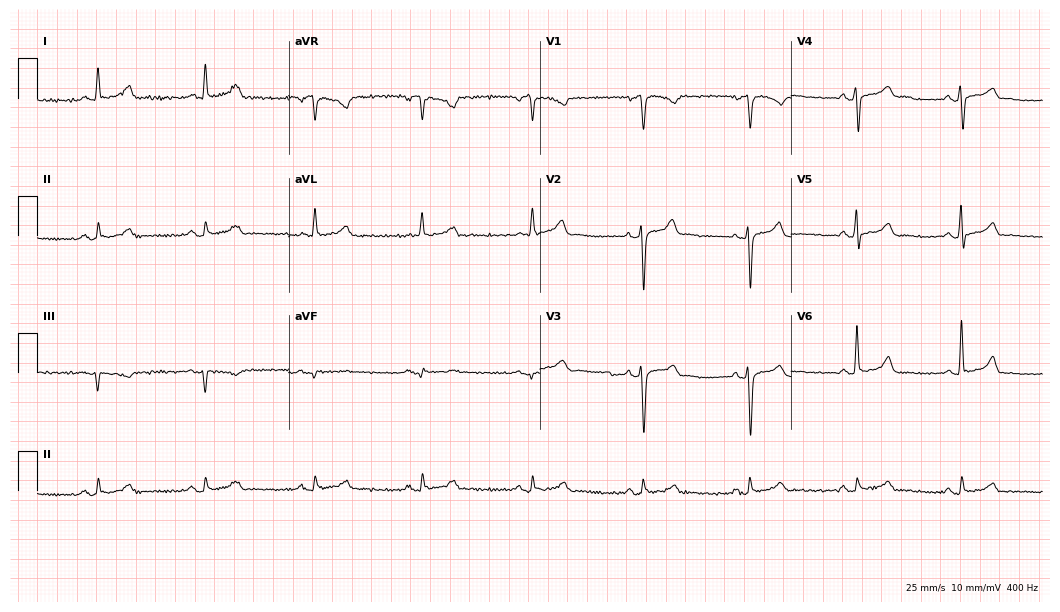
Resting 12-lead electrocardiogram (10.2-second recording at 400 Hz). Patient: a 46-year-old male. Read as a normal ECG.